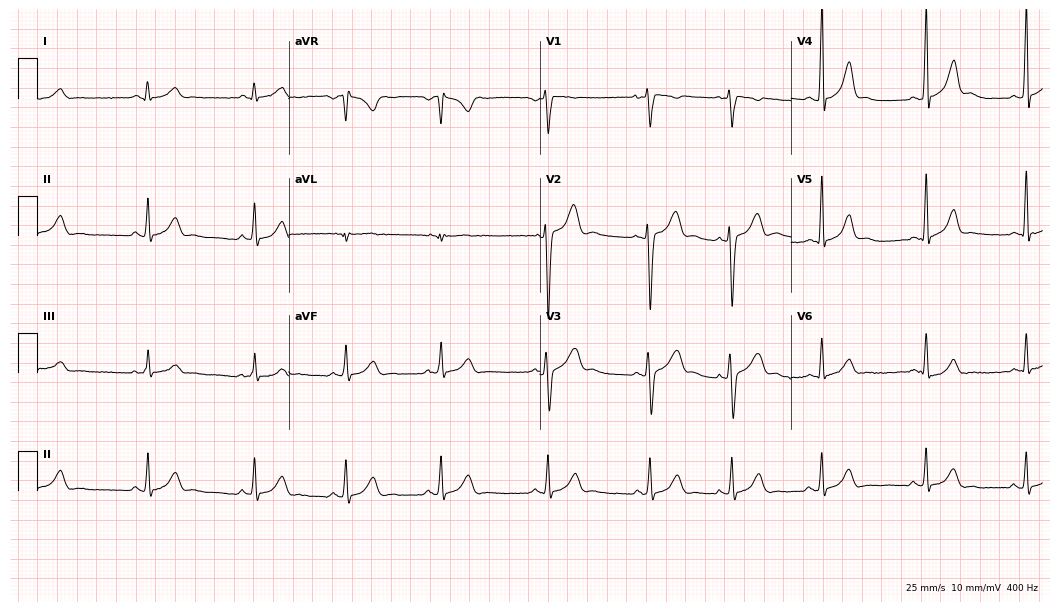
Standard 12-lead ECG recorded from a man, 21 years old (10.2-second recording at 400 Hz). Read as a normal ECG.